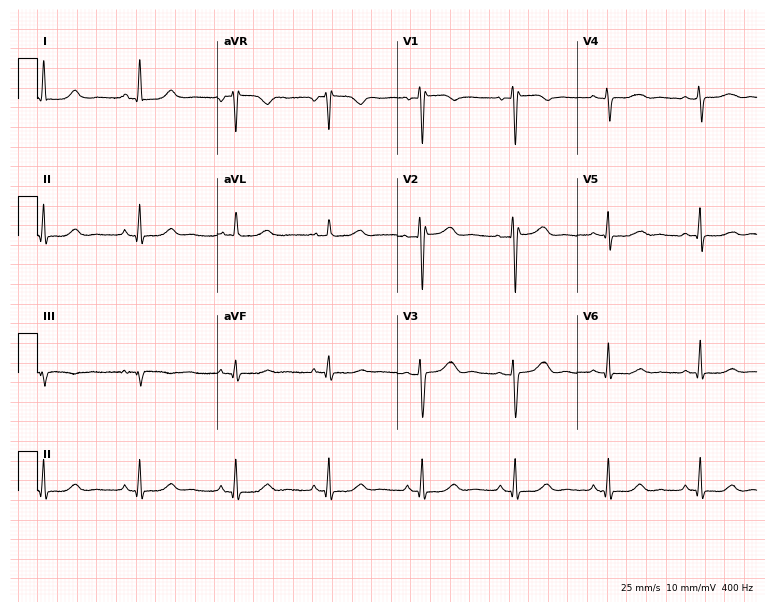
Resting 12-lead electrocardiogram. Patient: a female, 51 years old. Read as a normal ECG.